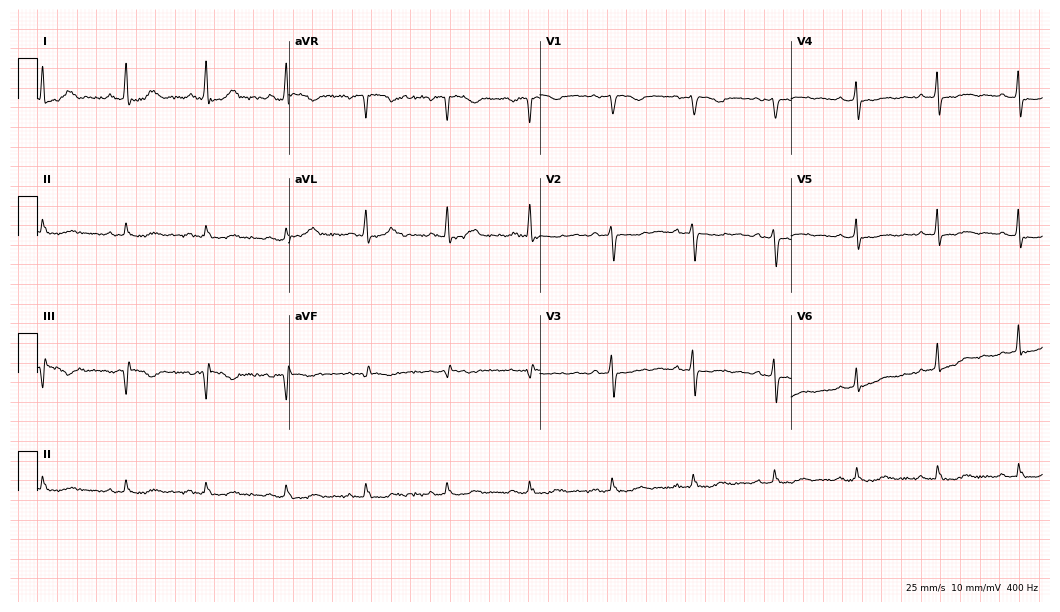
Standard 12-lead ECG recorded from a 57-year-old woman (10.2-second recording at 400 Hz). None of these six findings is recorded: first-degree AV block, right bundle branch block, left bundle branch block, sinus bradycardia, atrial fibrillation, sinus tachycardia. Findings outside these six are not listed.